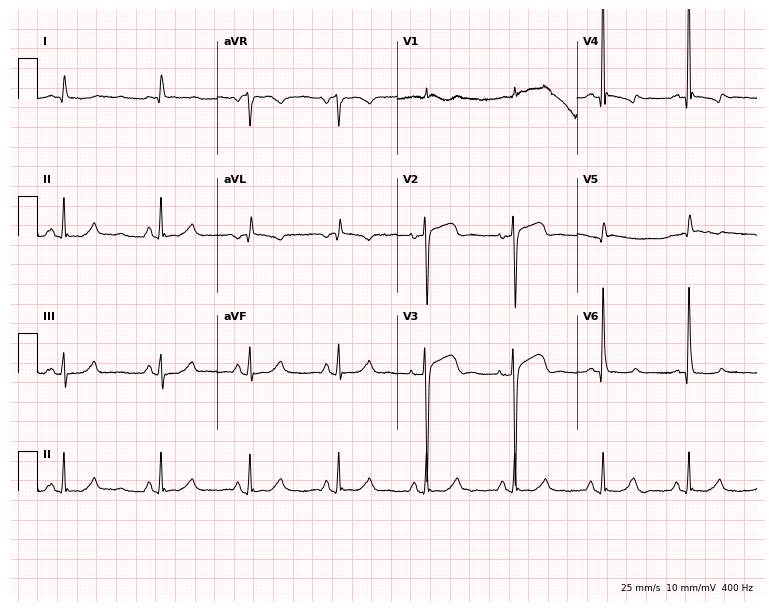
Resting 12-lead electrocardiogram (7.3-second recording at 400 Hz). Patient: a man, 63 years old. None of these six findings is recorded: first-degree AV block, right bundle branch block, left bundle branch block, sinus bradycardia, atrial fibrillation, sinus tachycardia.